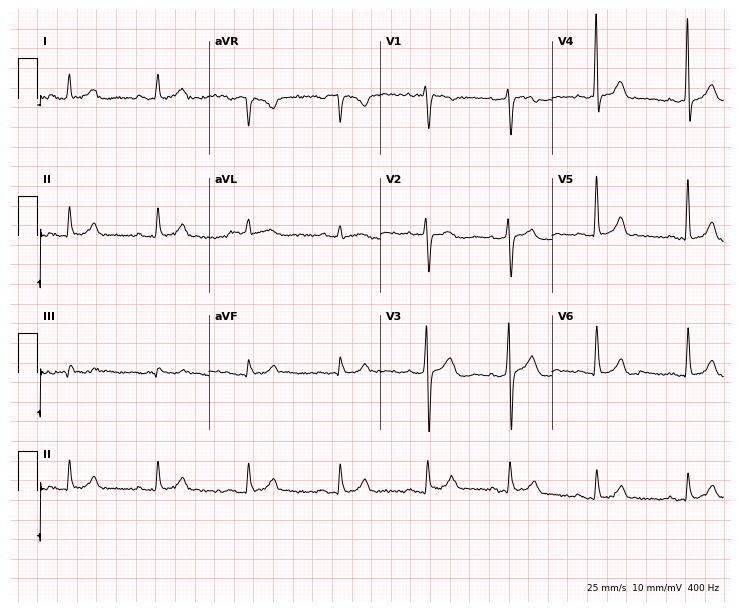
Resting 12-lead electrocardiogram (7-second recording at 400 Hz). Patient: a 34-year-old female. None of these six findings is recorded: first-degree AV block, right bundle branch block (RBBB), left bundle branch block (LBBB), sinus bradycardia, atrial fibrillation (AF), sinus tachycardia. Other findings, if any, are not listed.